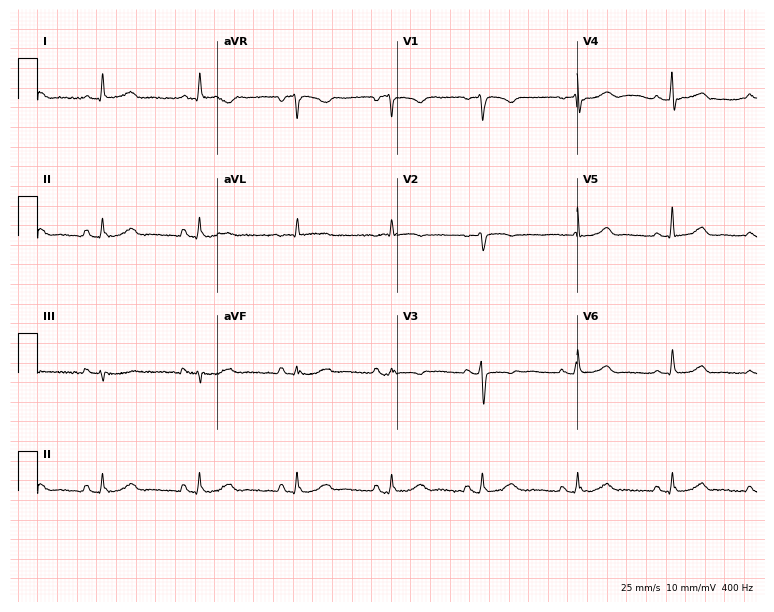
Electrocardiogram (7.3-second recording at 400 Hz), a 45-year-old female. Of the six screened findings (first-degree AV block, right bundle branch block, left bundle branch block, sinus bradycardia, atrial fibrillation, sinus tachycardia), none is recorded.